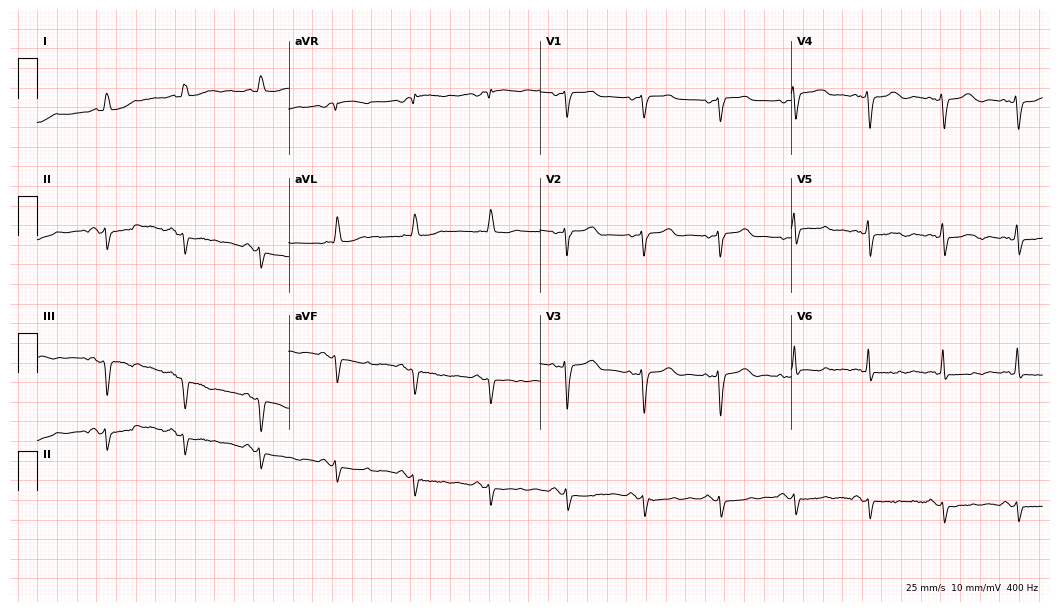
ECG — a 66-year-old female patient. Screened for six findings — first-degree AV block, right bundle branch block, left bundle branch block, sinus bradycardia, atrial fibrillation, sinus tachycardia — none is recorded. Only these six findings were labelled.